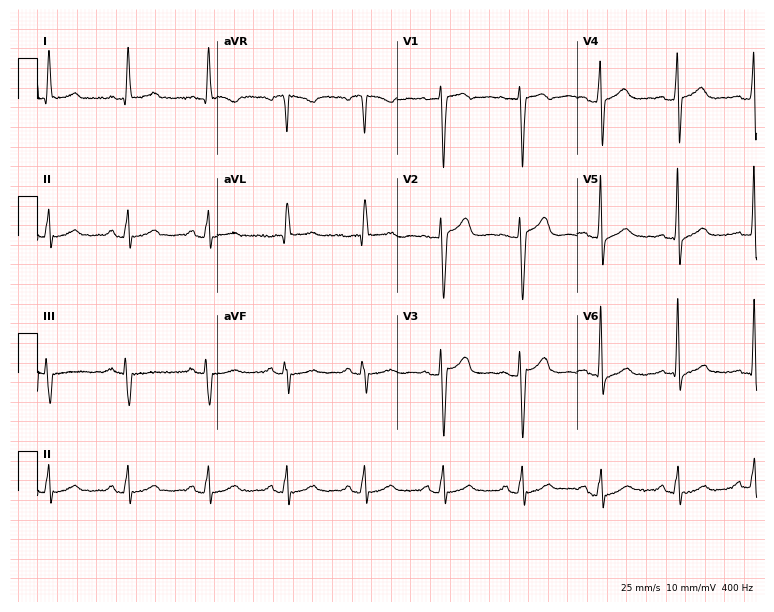
12-lead ECG from a woman, 49 years old (7.3-second recording at 400 Hz). No first-degree AV block, right bundle branch block, left bundle branch block, sinus bradycardia, atrial fibrillation or sinus tachycardia recorded for this tracing. Only these six findings were labelled.